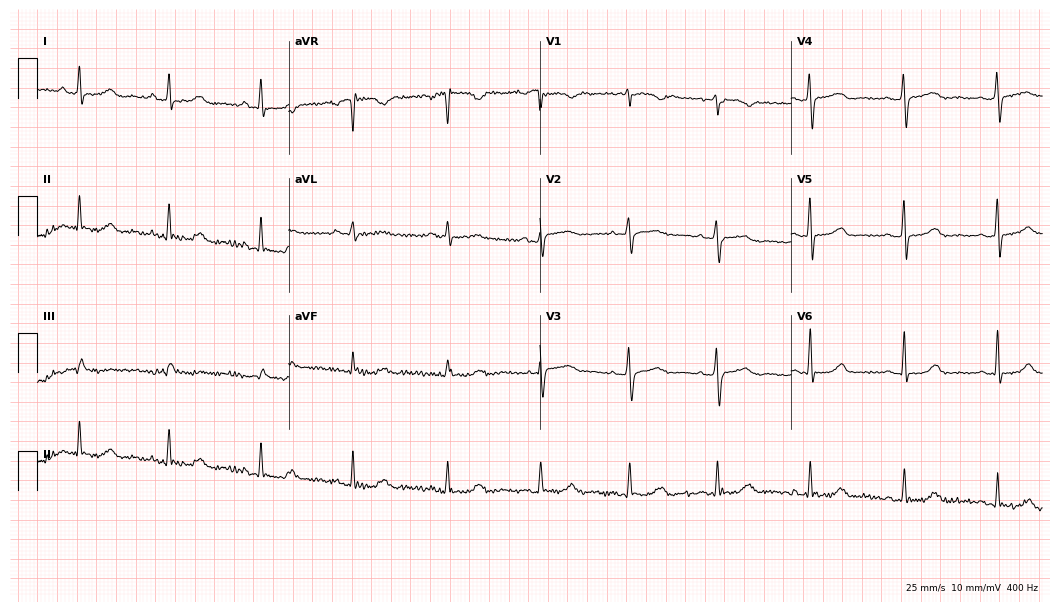
Resting 12-lead electrocardiogram (10.2-second recording at 400 Hz). Patient: a 58-year-old female. None of these six findings is recorded: first-degree AV block, right bundle branch block, left bundle branch block, sinus bradycardia, atrial fibrillation, sinus tachycardia. Findings outside these six are not listed.